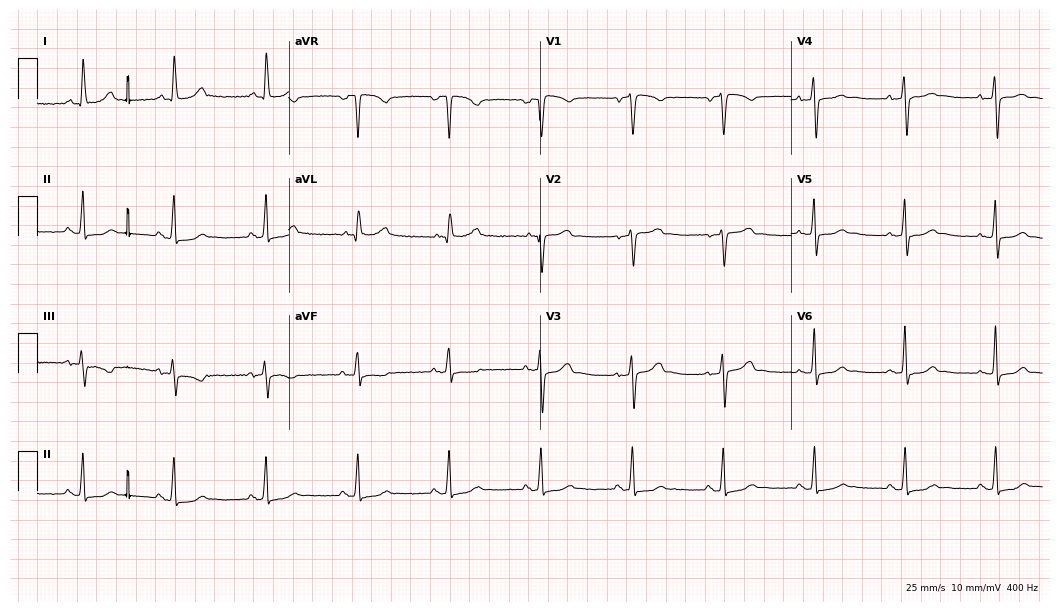
Standard 12-lead ECG recorded from a 56-year-old woman (10.2-second recording at 400 Hz). Read as a normal ECG.